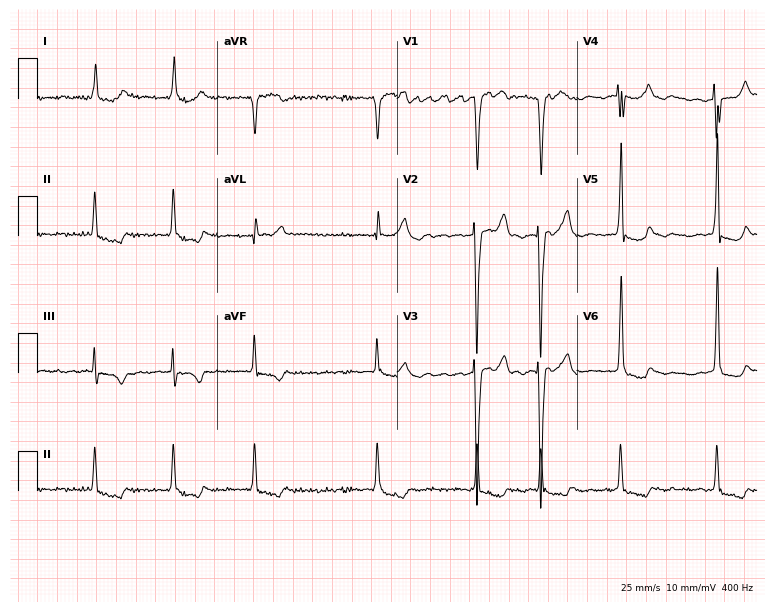
ECG (7.3-second recording at 400 Hz) — a woman, 78 years old. Findings include atrial fibrillation.